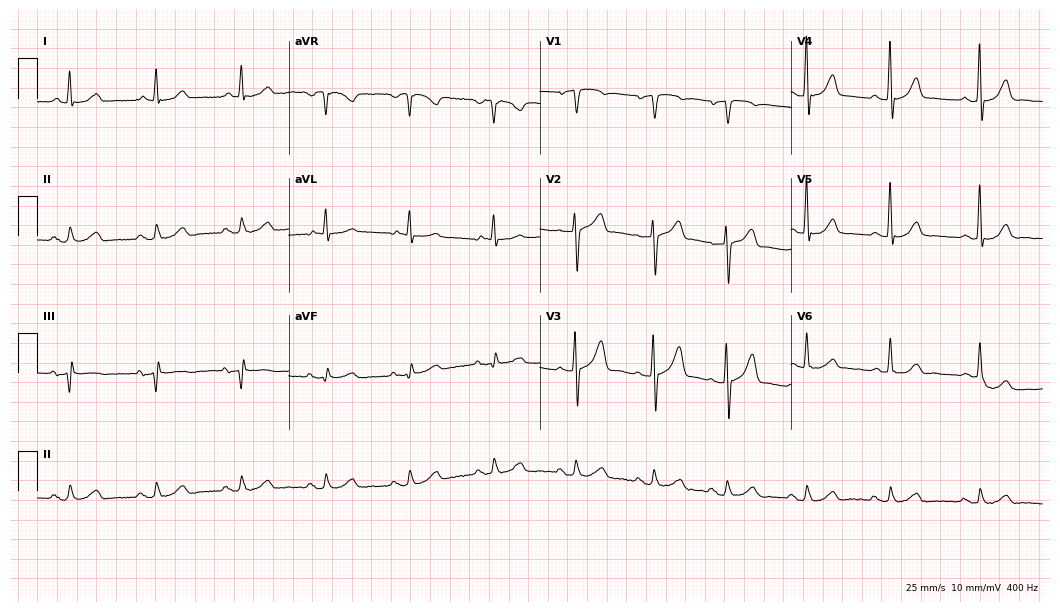
12-lead ECG from a 68-year-old male. Labelled as a normal ECG.